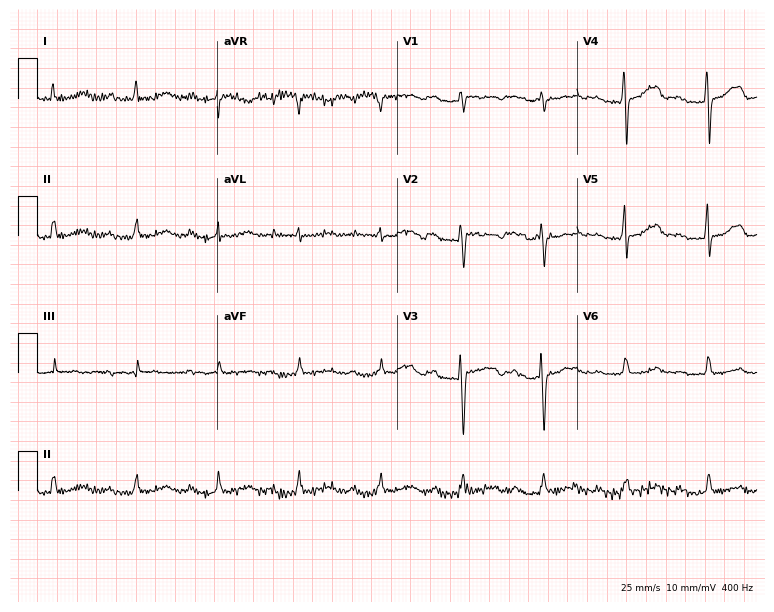
Resting 12-lead electrocardiogram (7.3-second recording at 400 Hz). Patient: a woman, 34 years old. The tracing shows first-degree AV block.